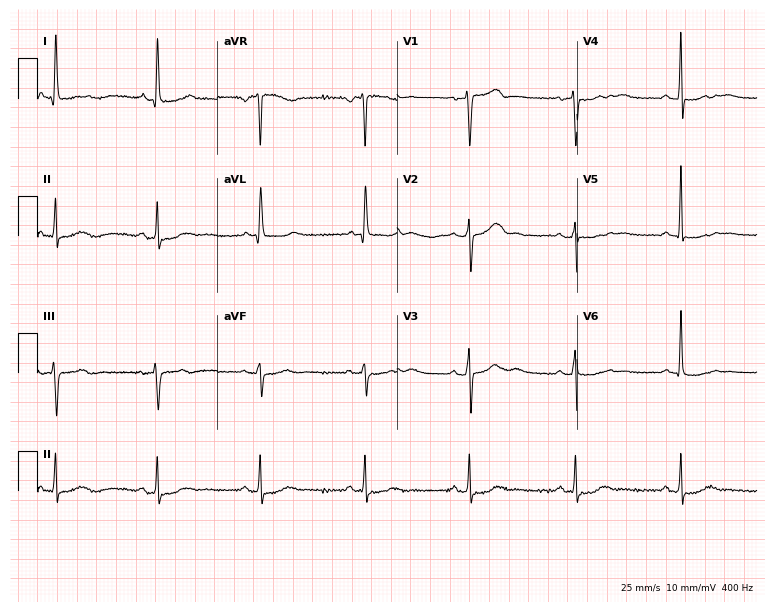
Resting 12-lead electrocardiogram. Patient: a 69-year-old female. Read as a normal ECG.